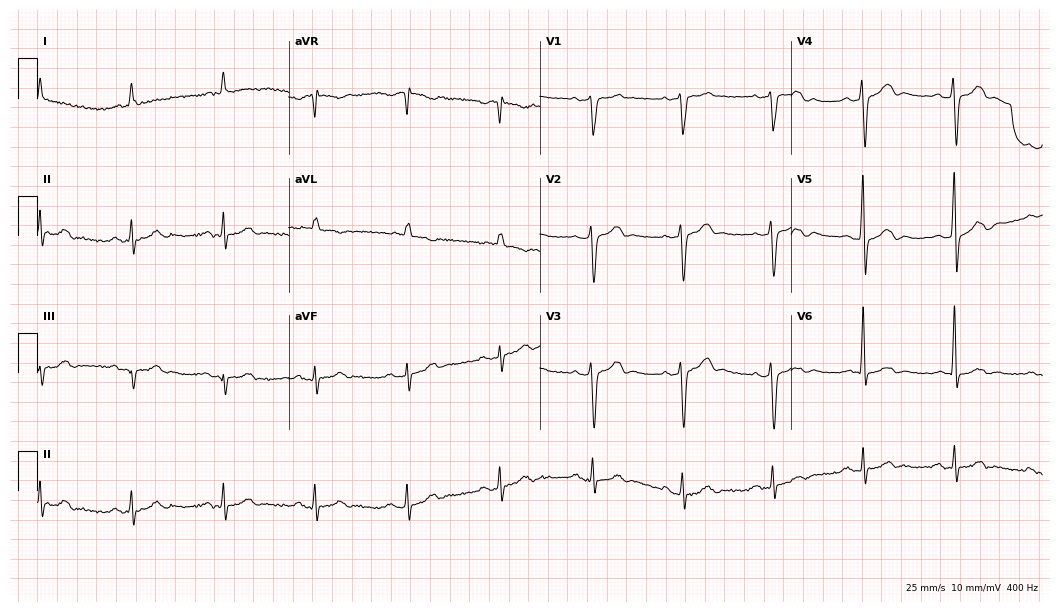
12-lead ECG from a 79-year-old male patient (10.2-second recording at 400 Hz). No first-degree AV block, right bundle branch block (RBBB), left bundle branch block (LBBB), sinus bradycardia, atrial fibrillation (AF) or sinus tachycardia recorded for this tracing. Other findings, if any, are not listed.